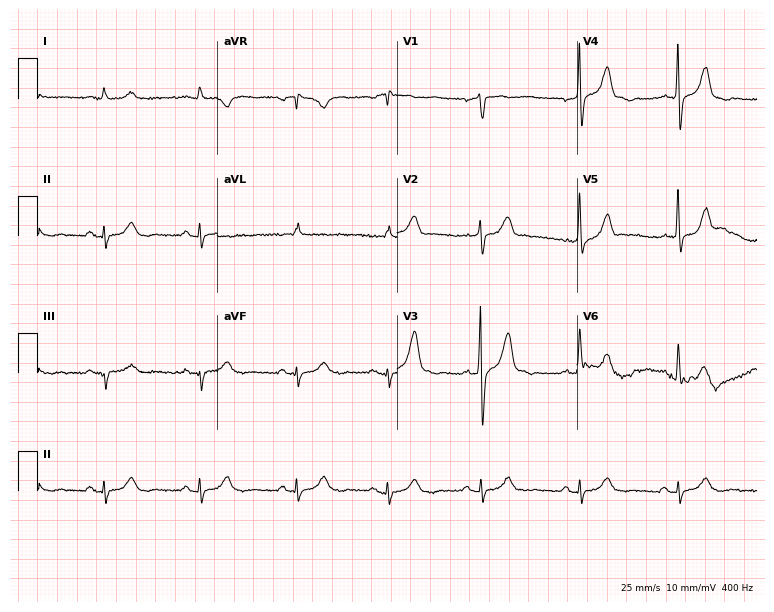
Electrocardiogram (7.3-second recording at 400 Hz), a male patient, 56 years old. Overall reading on record: normal ECG.